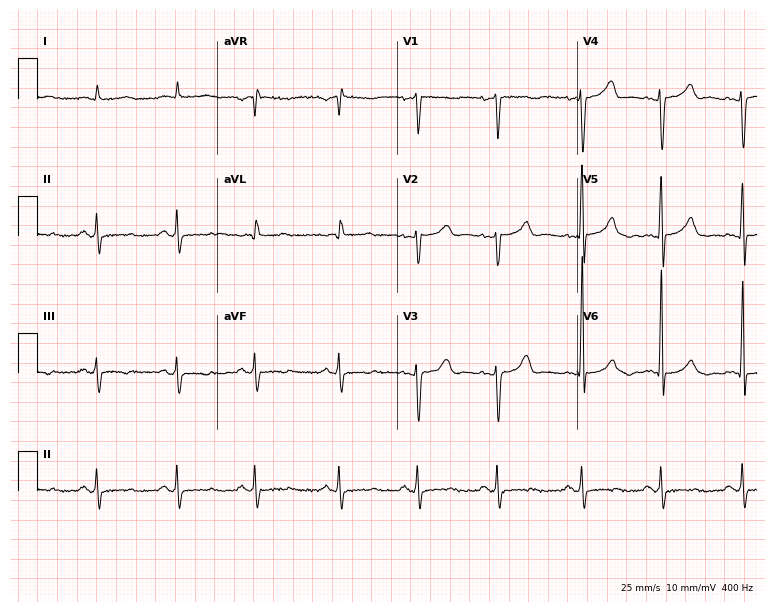
Resting 12-lead electrocardiogram. Patient: a man, 72 years old. None of these six findings is recorded: first-degree AV block, right bundle branch block, left bundle branch block, sinus bradycardia, atrial fibrillation, sinus tachycardia. Only these six findings were labelled.